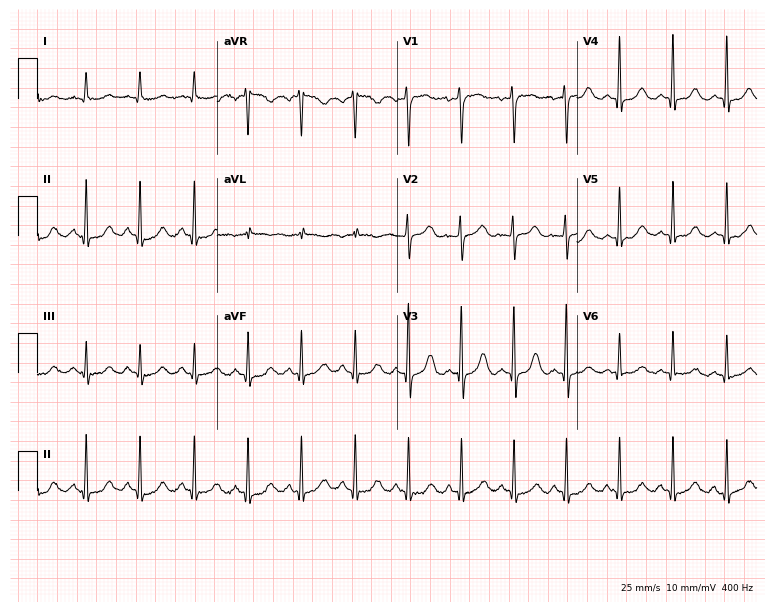
ECG — a female, 56 years old. Screened for six findings — first-degree AV block, right bundle branch block (RBBB), left bundle branch block (LBBB), sinus bradycardia, atrial fibrillation (AF), sinus tachycardia — none is recorded.